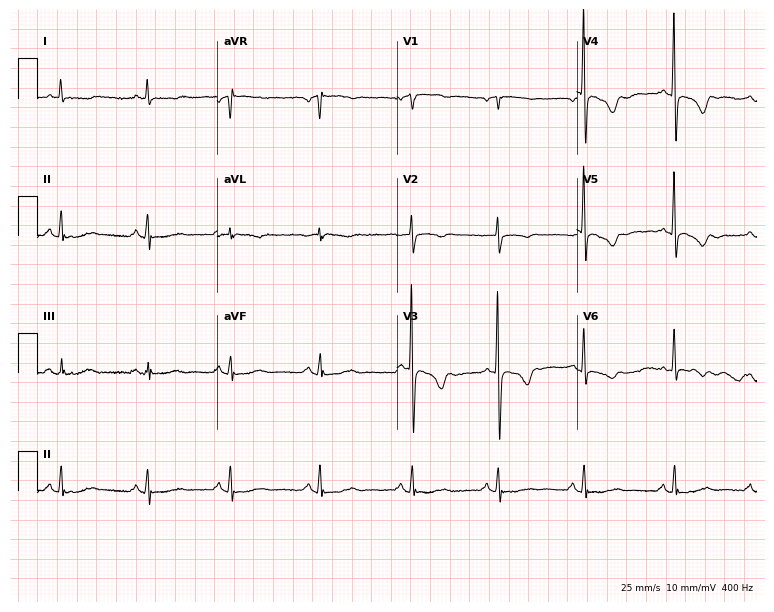
Standard 12-lead ECG recorded from a female patient, 72 years old (7.3-second recording at 400 Hz). None of these six findings is recorded: first-degree AV block, right bundle branch block (RBBB), left bundle branch block (LBBB), sinus bradycardia, atrial fibrillation (AF), sinus tachycardia. Other findings, if any, are not listed.